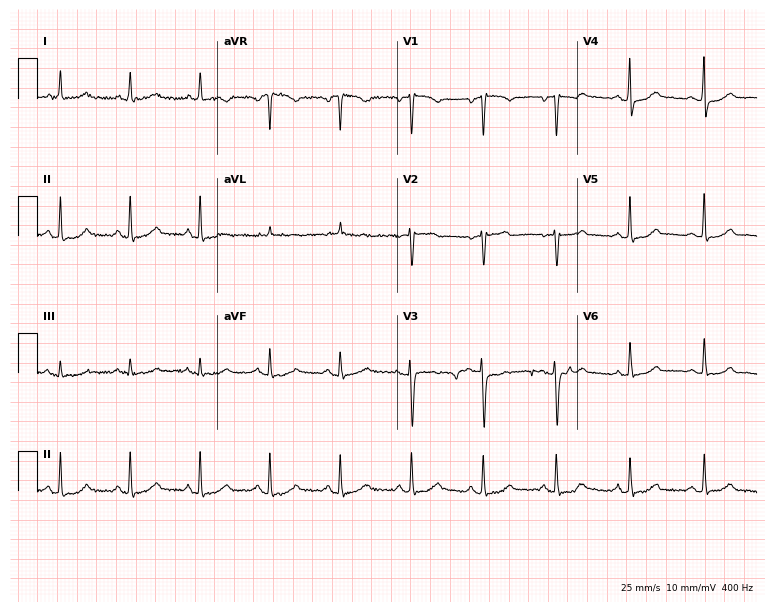
12-lead ECG from a female patient, 71 years old (7.3-second recording at 400 Hz). No first-degree AV block, right bundle branch block, left bundle branch block, sinus bradycardia, atrial fibrillation or sinus tachycardia recorded for this tracing.